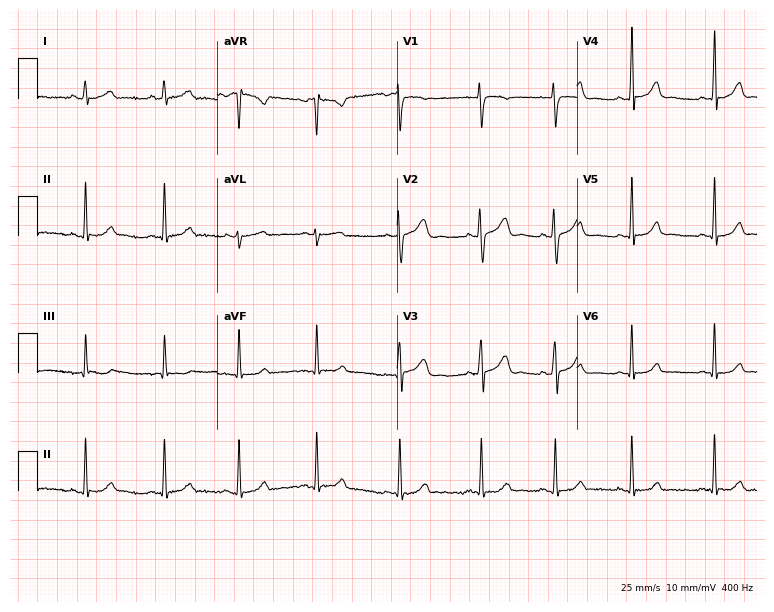
Resting 12-lead electrocardiogram (7.3-second recording at 400 Hz). Patient: a 19-year-old woman. Read as a normal ECG.